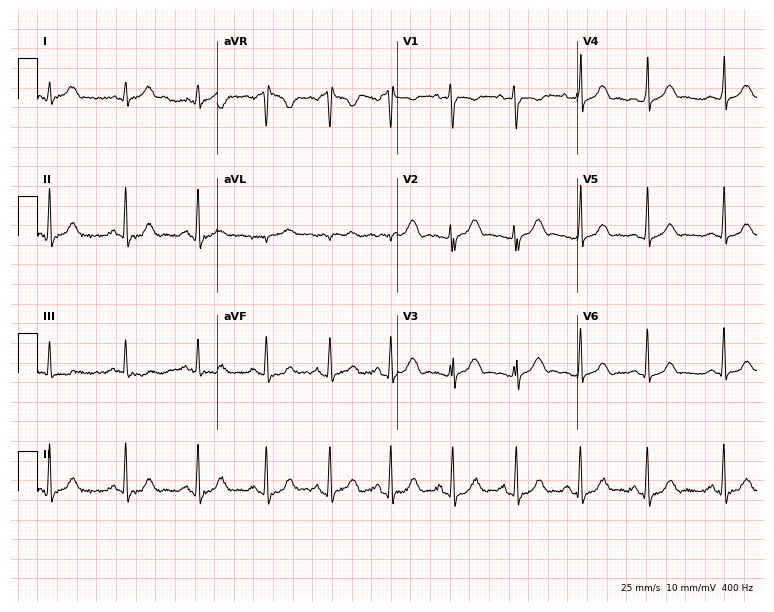
Electrocardiogram (7.3-second recording at 400 Hz), a 22-year-old woman. Overall reading on record: normal ECG.